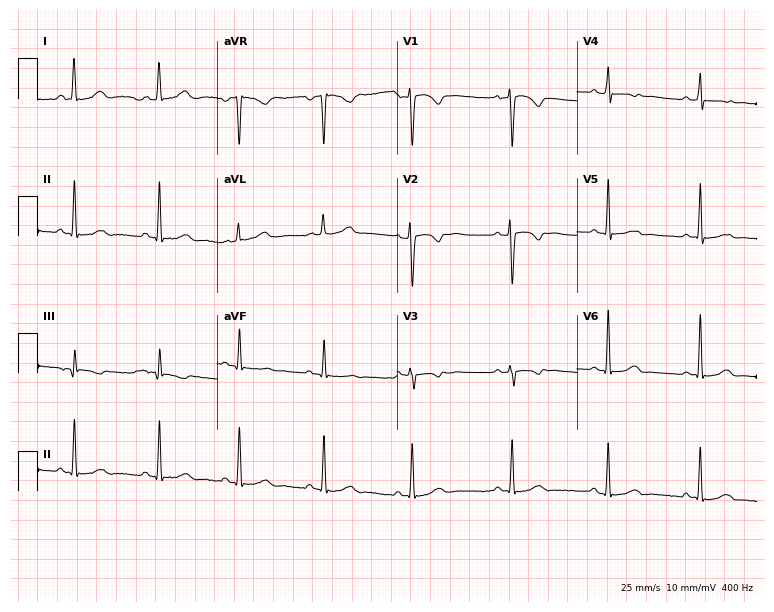
12-lead ECG (7.3-second recording at 400 Hz) from a 25-year-old female patient. Screened for six findings — first-degree AV block, right bundle branch block, left bundle branch block, sinus bradycardia, atrial fibrillation, sinus tachycardia — none is recorded.